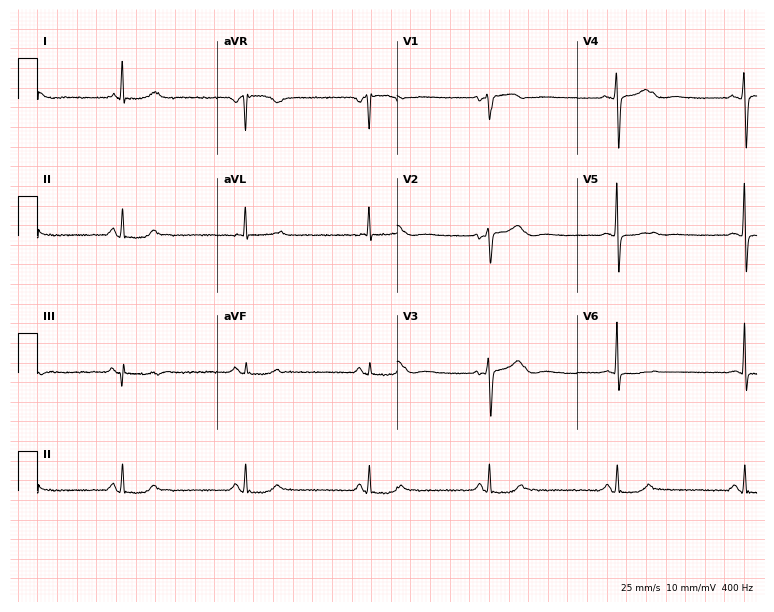
Resting 12-lead electrocardiogram (7.3-second recording at 400 Hz). Patient: a 59-year-old female. The tracing shows sinus bradycardia (a sinus rate of 50 beats per minute or less).